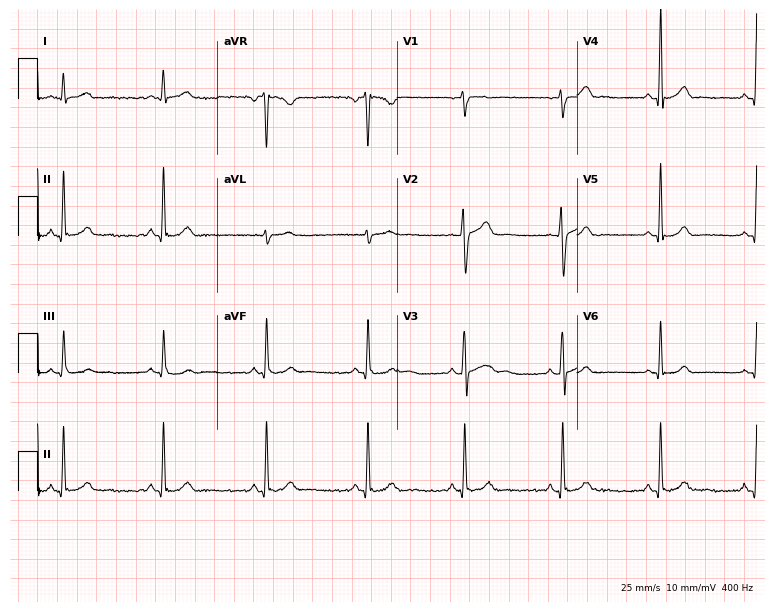
12-lead ECG from a 26-year-old male. Labelled as a normal ECG.